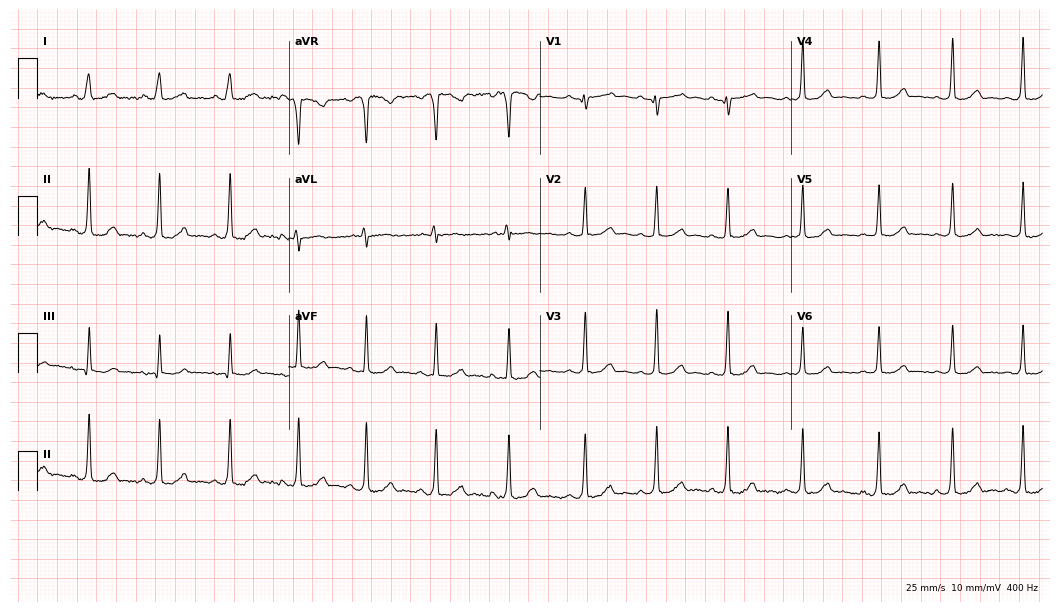
12-lead ECG from a 28-year-old woman. Labelled as a normal ECG.